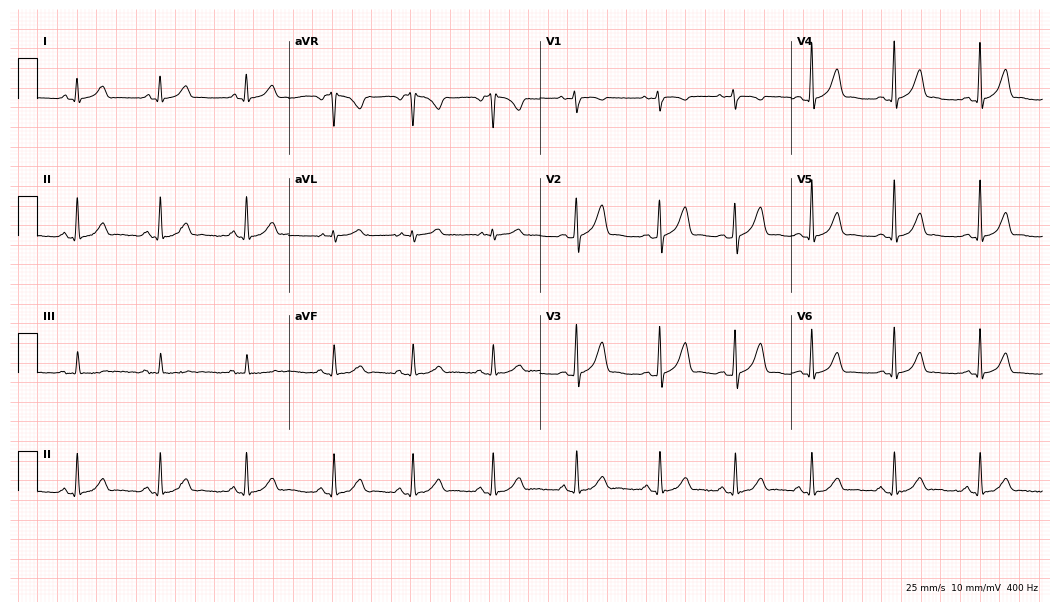
Electrocardiogram, a 24-year-old female. Overall reading on record: normal ECG.